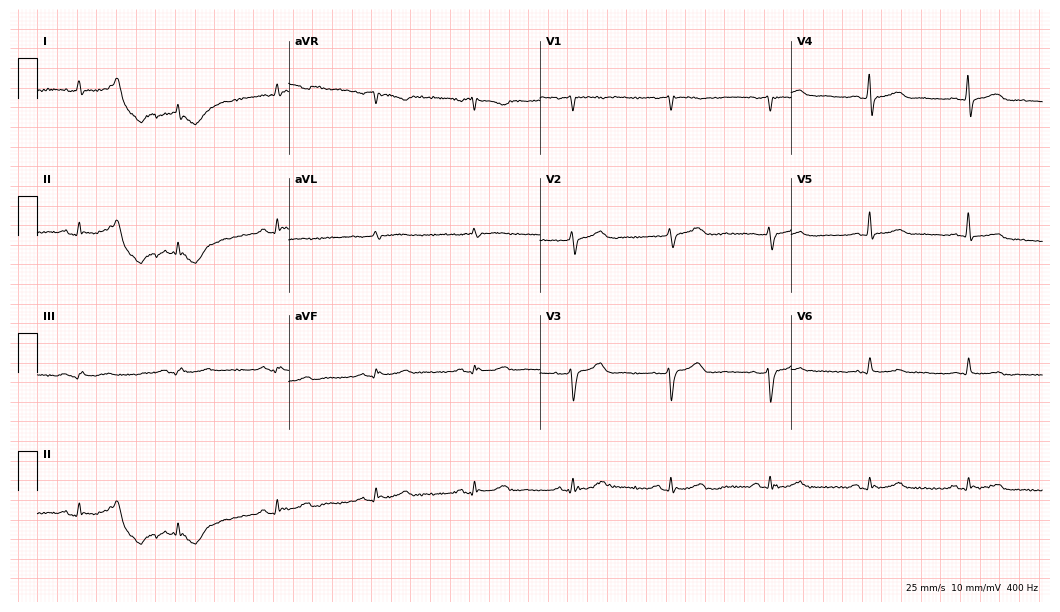
Standard 12-lead ECG recorded from a male, 79 years old. None of these six findings is recorded: first-degree AV block, right bundle branch block, left bundle branch block, sinus bradycardia, atrial fibrillation, sinus tachycardia.